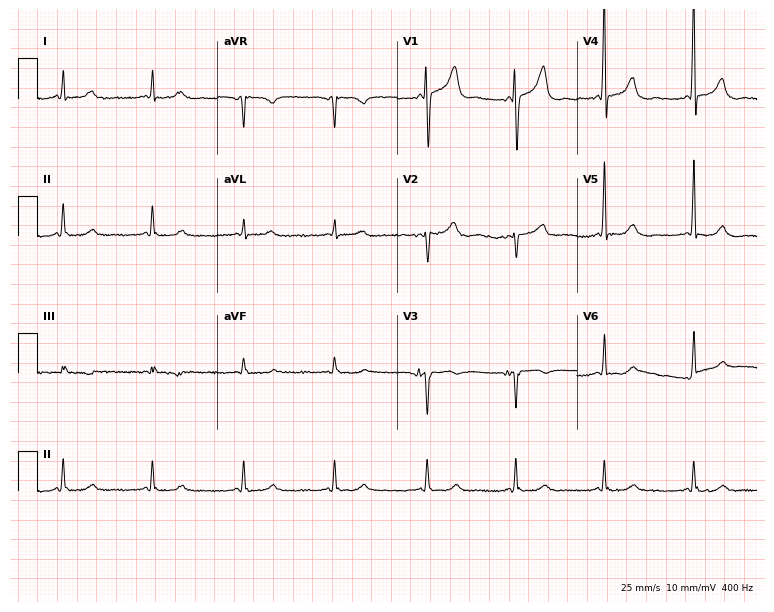
Electrocardiogram (7.3-second recording at 400 Hz), a male, 77 years old. Of the six screened findings (first-degree AV block, right bundle branch block, left bundle branch block, sinus bradycardia, atrial fibrillation, sinus tachycardia), none is recorded.